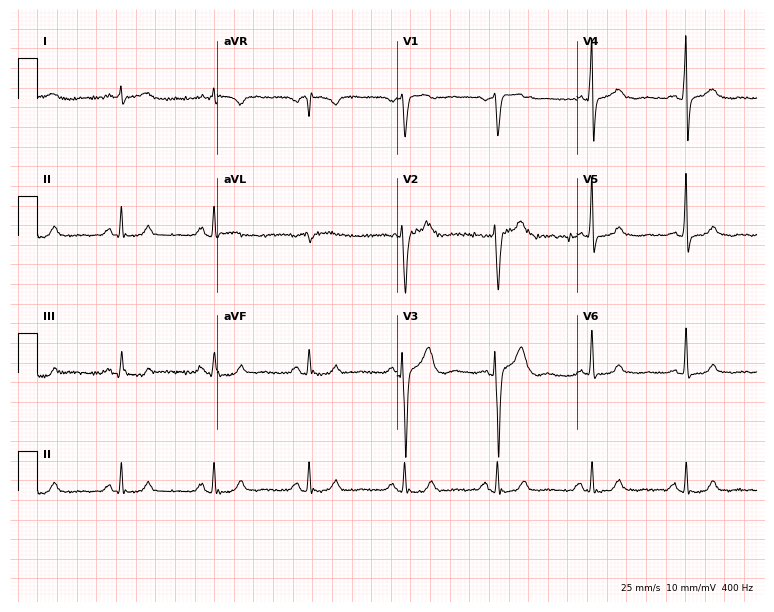
Standard 12-lead ECG recorded from a 55-year-old male patient. None of these six findings is recorded: first-degree AV block, right bundle branch block, left bundle branch block, sinus bradycardia, atrial fibrillation, sinus tachycardia. Findings outside these six are not listed.